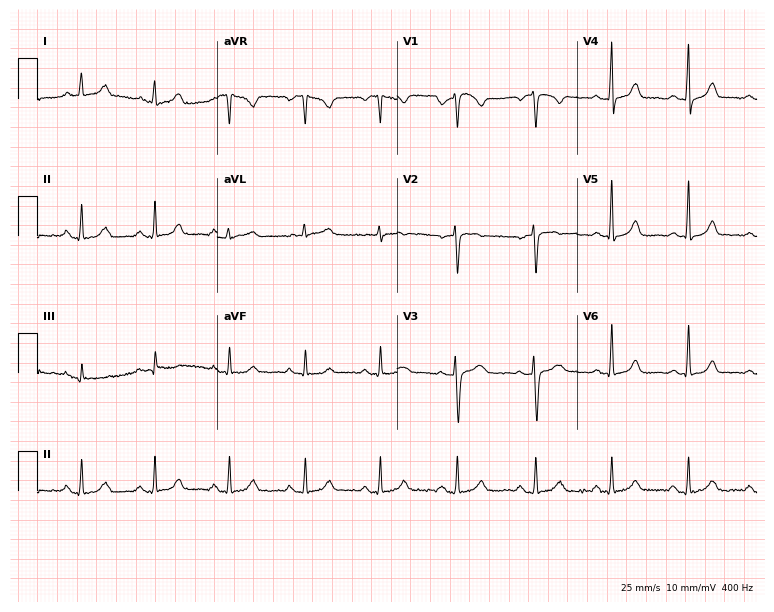
Resting 12-lead electrocardiogram (7.3-second recording at 400 Hz). Patient: a 48-year-old woman. None of these six findings is recorded: first-degree AV block, right bundle branch block (RBBB), left bundle branch block (LBBB), sinus bradycardia, atrial fibrillation (AF), sinus tachycardia.